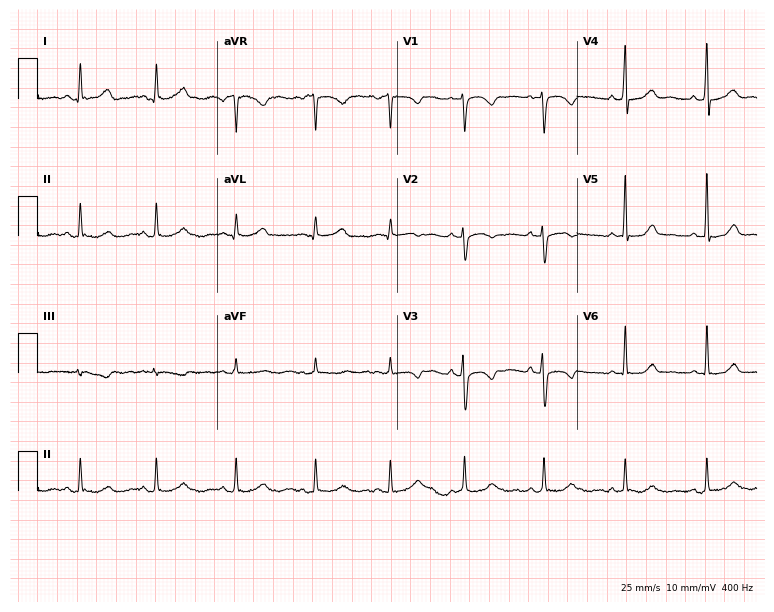
12-lead ECG from a 31-year-old female patient (7.3-second recording at 400 Hz). Recorded interpretation: within normal limits.